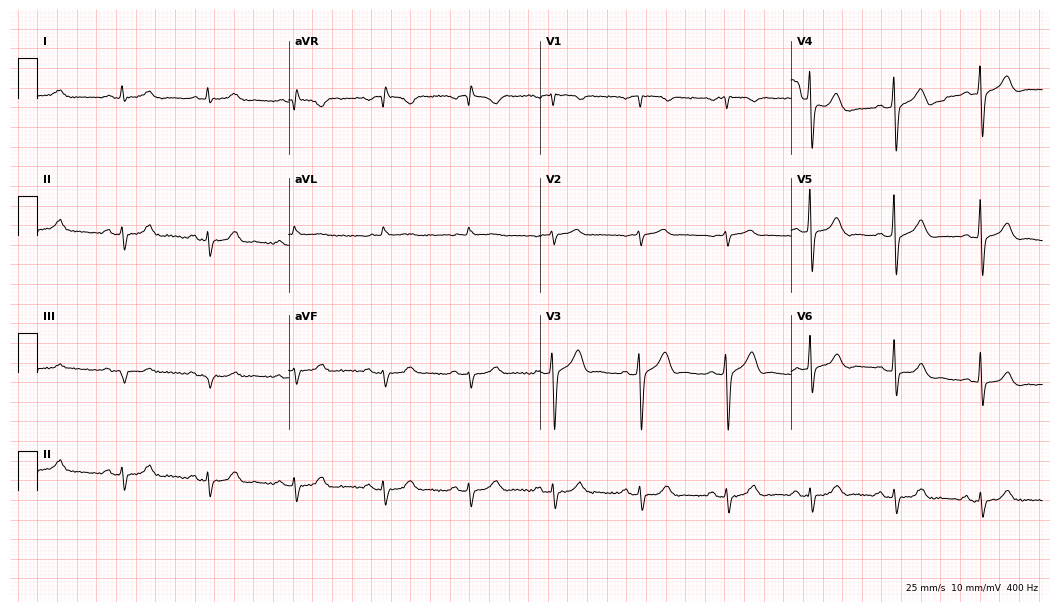
ECG — a male, 59 years old. Screened for six findings — first-degree AV block, right bundle branch block, left bundle branch block, sinus bradycardia, atrial fibrillation, sinus tachycardia — none is recorded. Only these six findings were labelled.